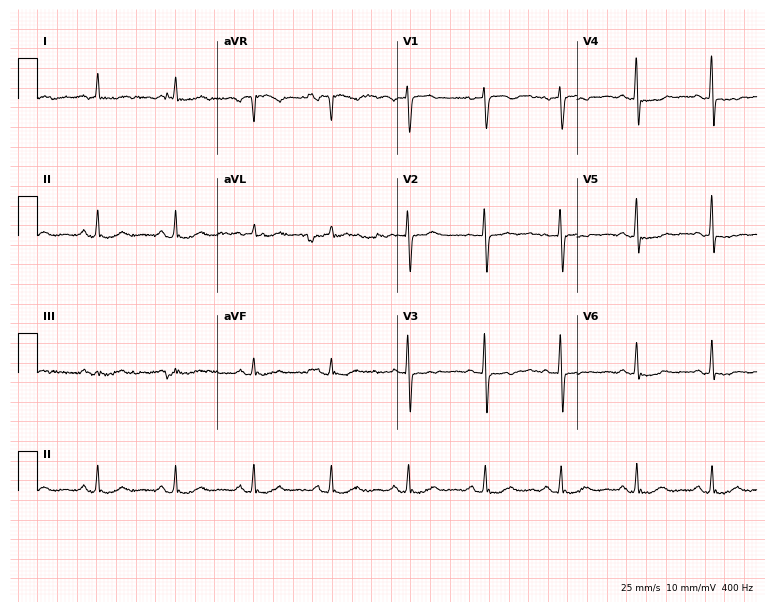
12-lead ECG from a woman, 72 years old. Screened for six findings — first-degree AV block, right bundle branch block, left bundle branch block, sinus bradycardia, atrial fibrillation, sinus tachycardia — none is recorded.